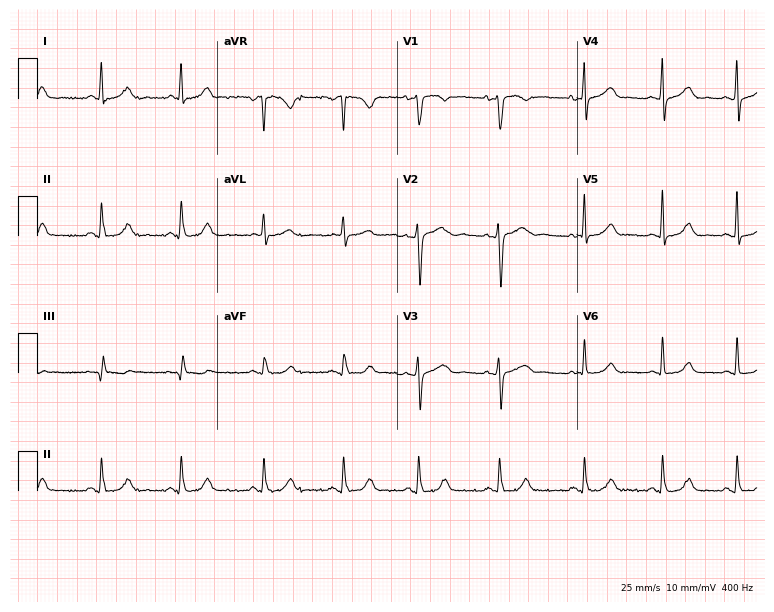
Electrocardiogram (7.3-second recording at 400 Hz), a 22-year-old female patient. Overall reading on record: normal ECG.